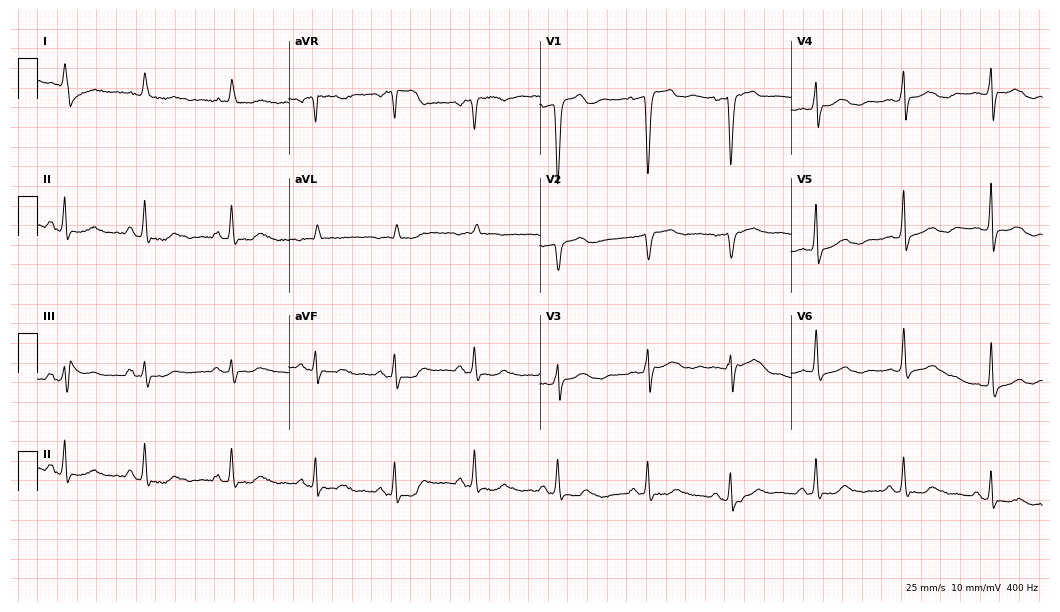
12-lead ECG (10.2-second recording at 400 Hz) from a 71-year-old female. Screened for six findings — first-degree AV block, right bundle branch block (RBBB), left bundle branch block (LBBB), sinus bradycardia, atrial fibrillation (AF), sinus tachycardia — none is recorded.